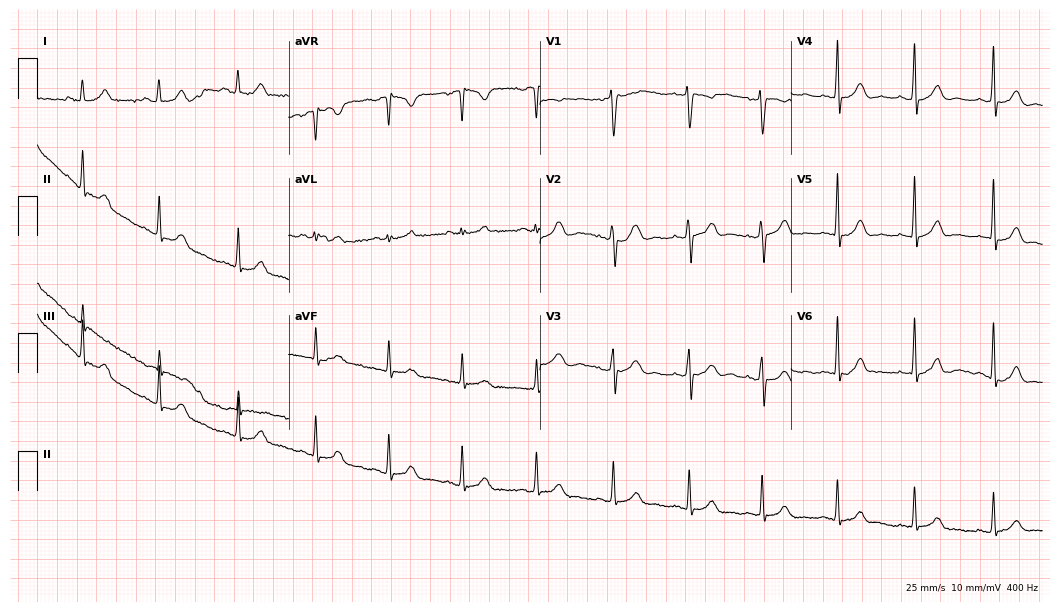
ECG (10.2-second recording at 400 Hz) — a 24-year-old woman. Screened for six findings — first-degree AV block, right bundle branch block (RBBB), left bundle branch block (LBBB), sinus bradycardia, atrial fibrillation (AF), sinus tachycardia — none is recorded. Findings outside these six are not listed.